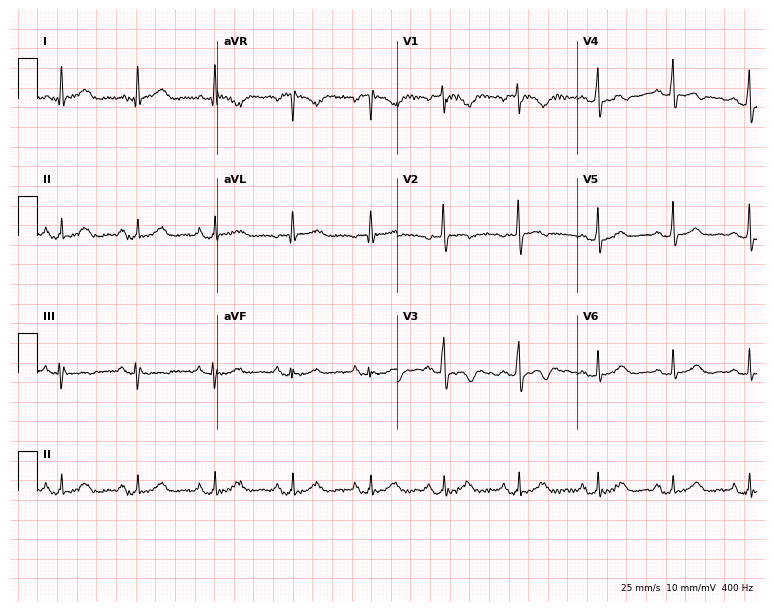
Standard 12-lead ECG recorded from a 48-year-old male (7.3-second recording at 400 Hz). Read as a normal ECG.